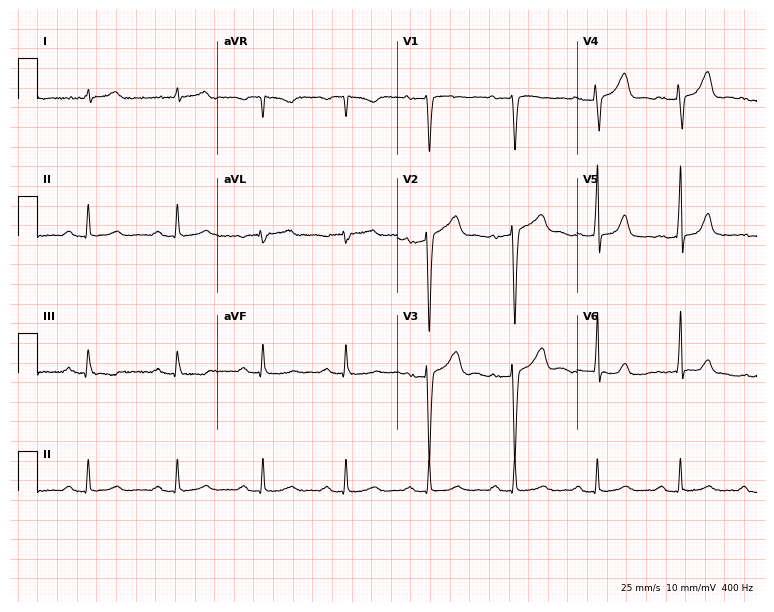
ECG (7.3-second recording at 400 Hz) — a male, 29 years old. Labelled as a normal ECG.